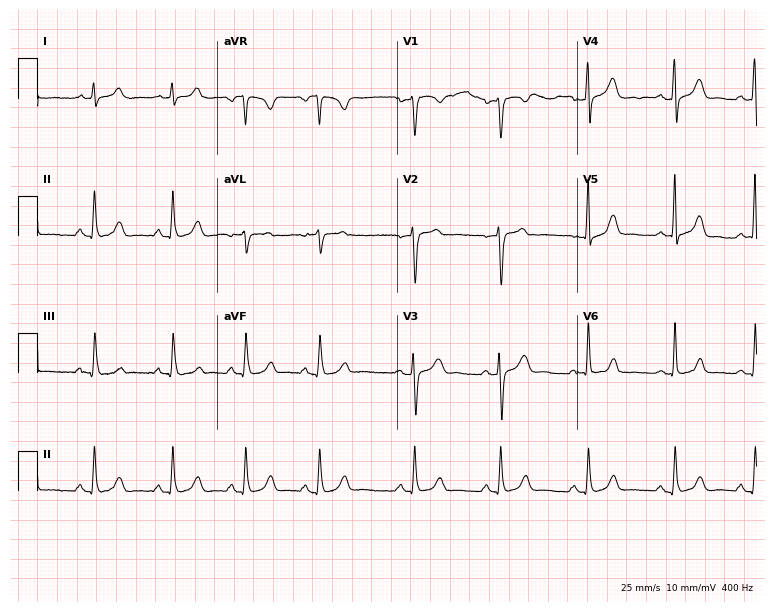
ECG (7.3-second recording at 400 Hz) — a 35-year-old female patient. Labelled as a normal ECG.